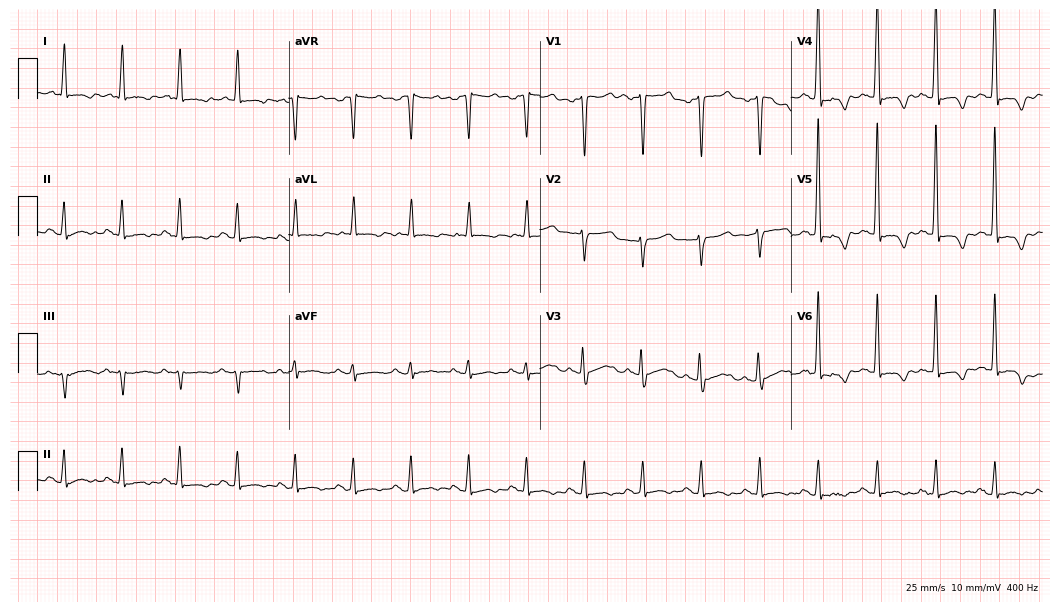
12-lead ECG from a woman, 78 years old. Findings include sinus tachycardia (a sinus rate of 100 beats per minute or more).